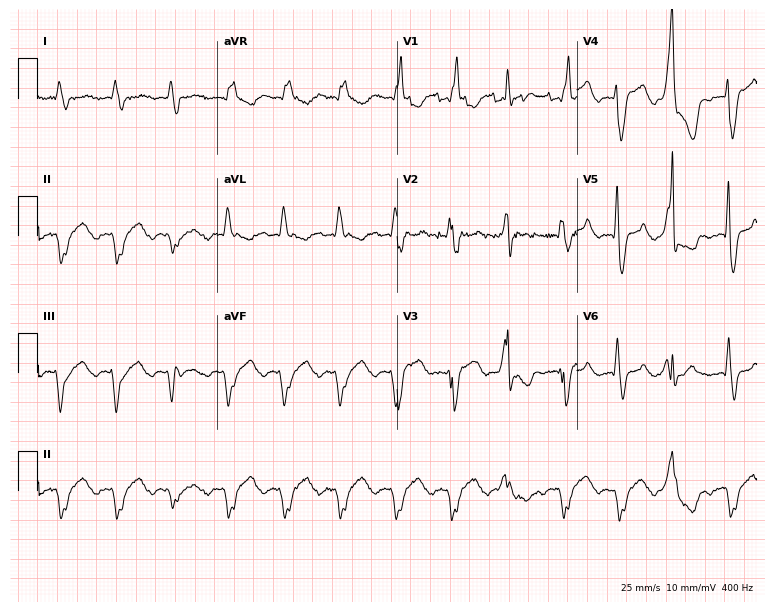
Resting 12-lead electrocardiogram (7.3-second recording at 400 Hz). Patient: a 37-year-old male. The tracing shows right bundle branch block.